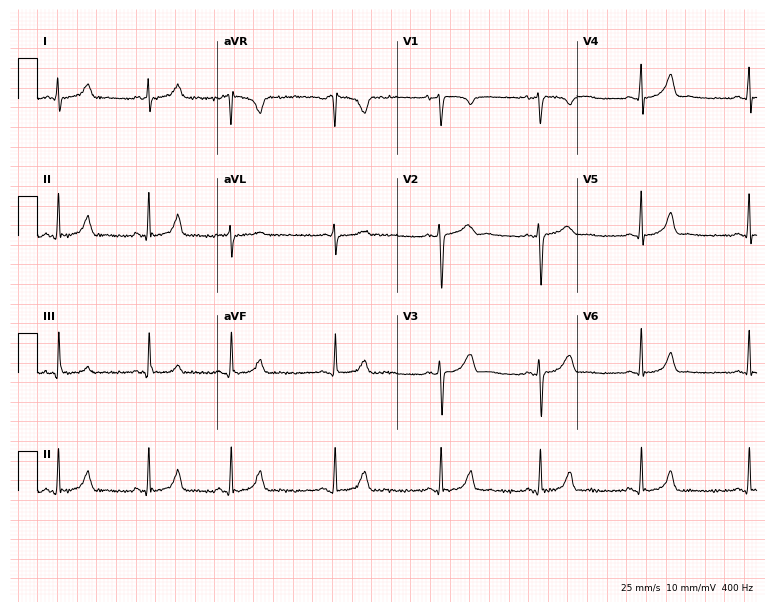
12-lead ECG (7.3-second recording at 400 Hz) from a woman, 29 years old. Labelled as a normal ECG.